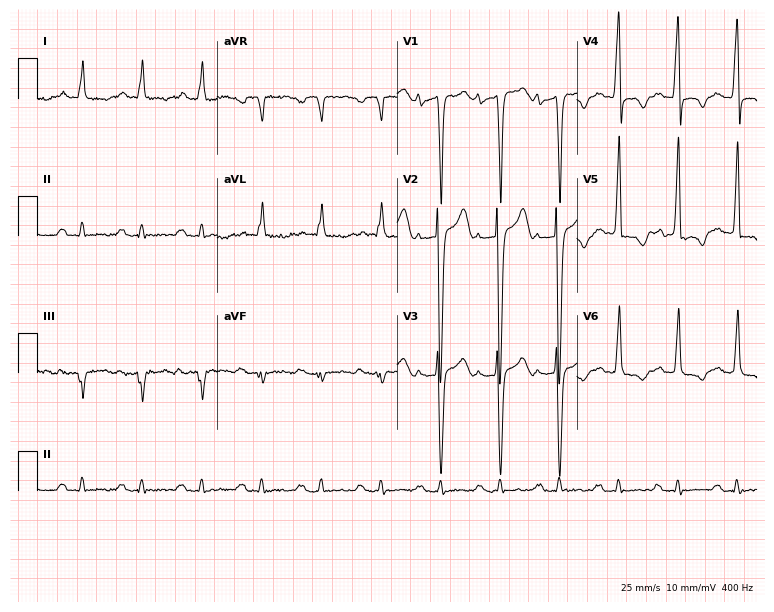
12-lead ECG from a 47-year-old male. Shows first-degree AV block.